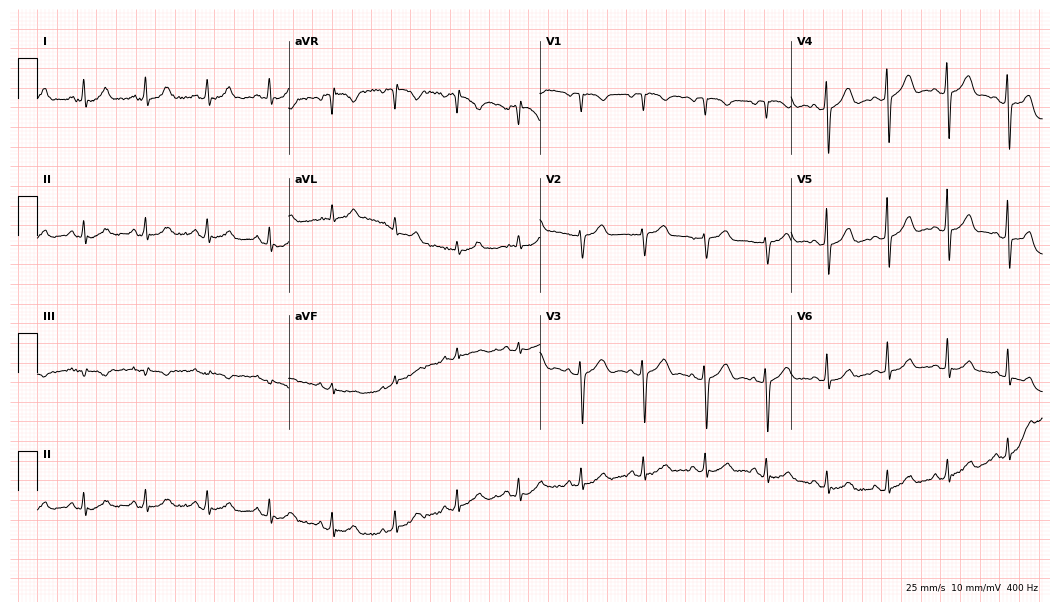
12-lead ECG from a 57-year-old man. Labelled as a normal ECG.